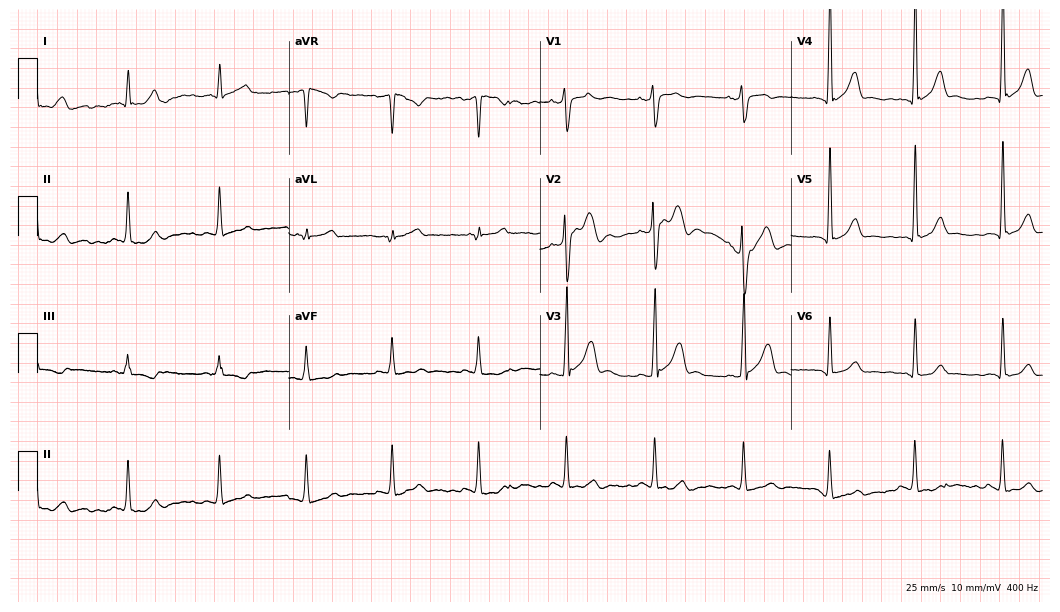
Resting 12-lead electrocardiogram. Patient: a 41-year-old male. Read as a normal ECG.